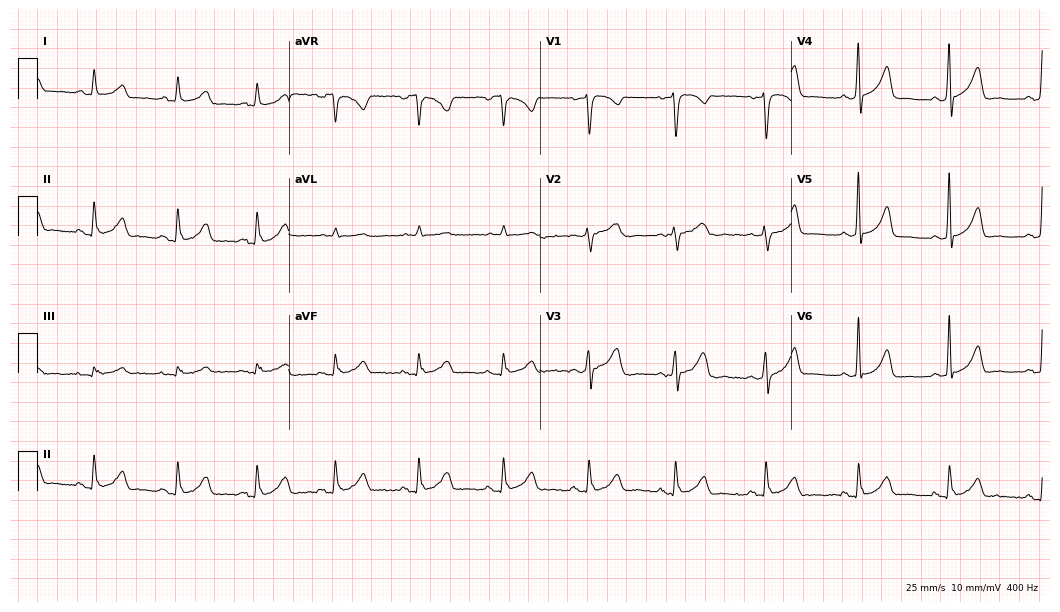
12-lead ECG from a 58-year-old woman. Screened for six findings — first-degree AV block, right bundle branch block, left bundle branch block, sinus bradycardia, atrial fibrillation, sinus tachycardia — none is recorded.